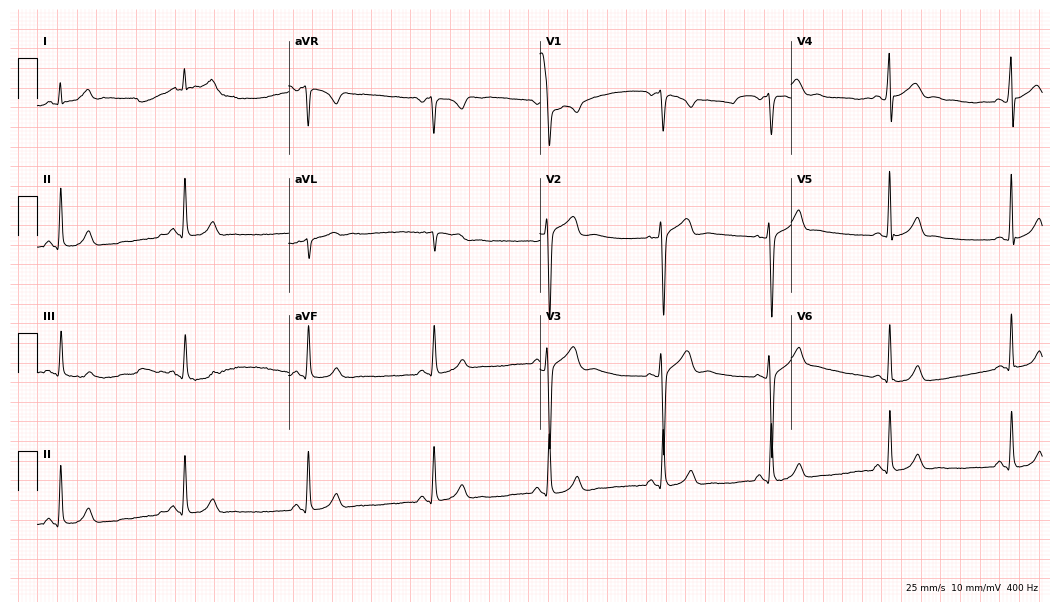
Standard 12-lead ECG recorded from a male, 22 years old (10.2-second recording at 400 Hz). The tracing shows sinus bradycardia (a sinus rate of 50 beats per minute or less).